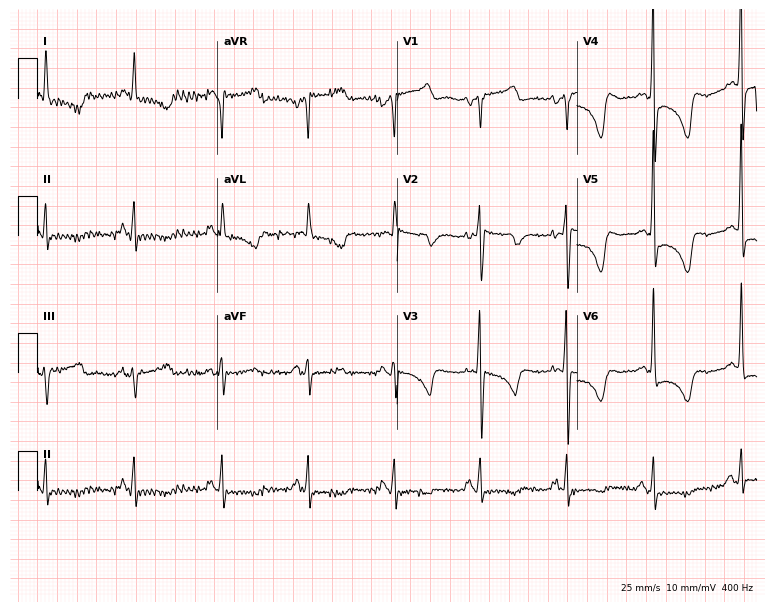
ECG — a female, 69 years old. Screened for six findings — first-degree AV block, right bundle branch block (RBBB), left bundle branch block (LBBB), sinus bradycardia, atrial fibrillation (AF), sinus tachycardia — none is recorded.